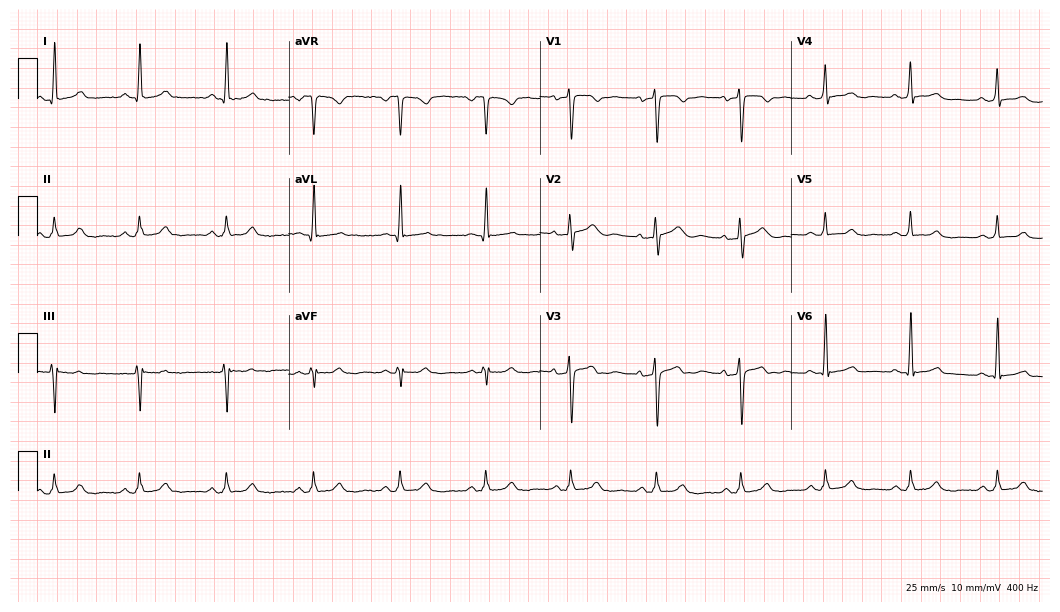
ECG — a female patient, 54 years old. Labelled as a normal ECG.